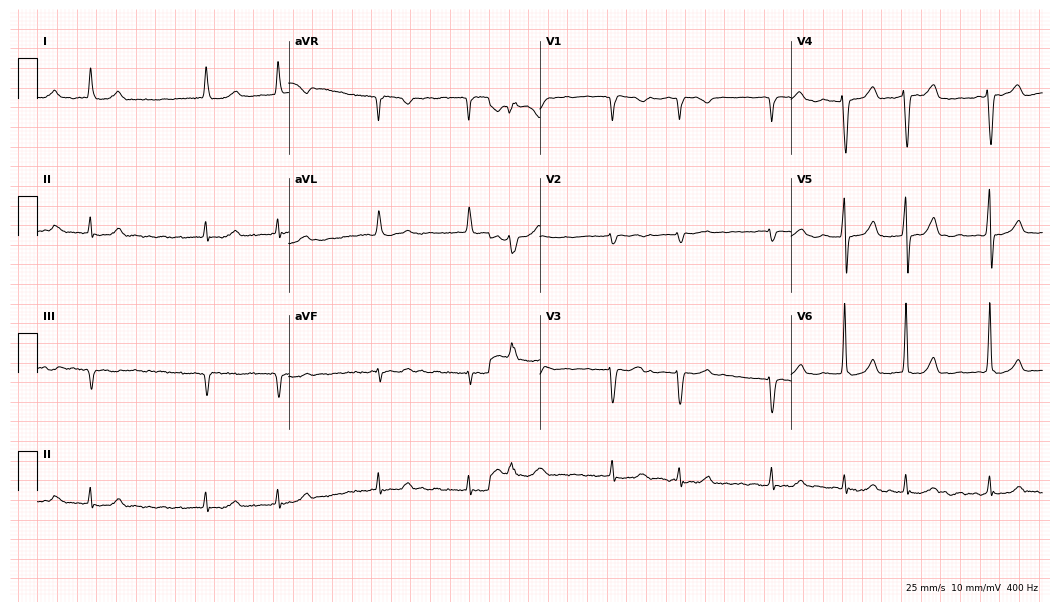
Standard 12-lead ECG recorded from a female patient, 71 years old. The tracing shows atrial fibrillation.